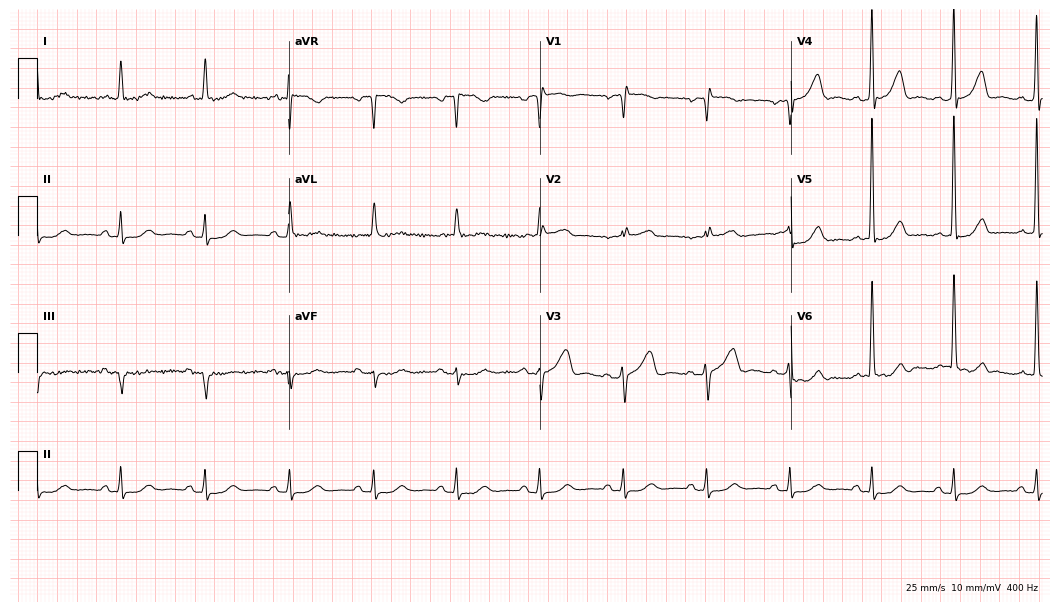
ECG (10.2-second recording at 400 Hz) — a female patient, 73 years old. Screened for six findings — first-degree AV block, right bundle branch block, left bundle branch block, sinus bradycardia, atrial fibrillation, sinus tachycardia — none is recorded. Findings outside these six are not listed.